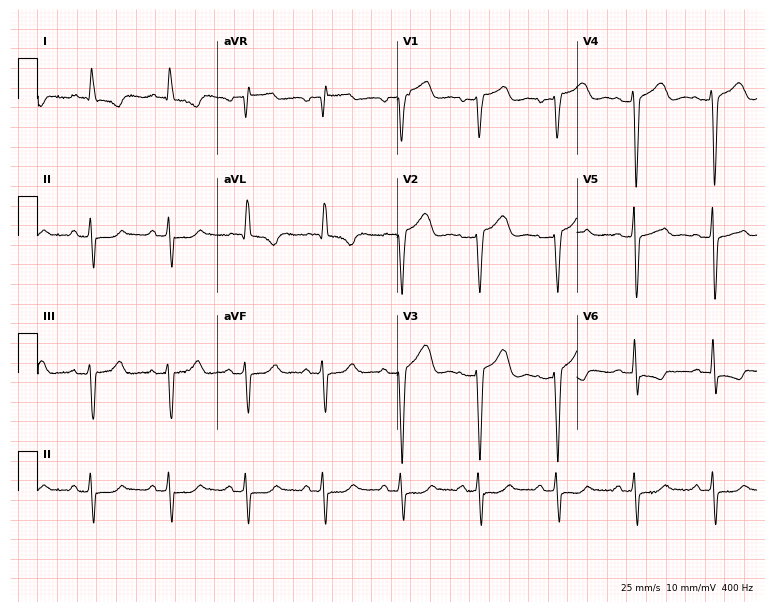
Standard 12-lead ECG recorded from a 68-year-old man (7.3-second recording at 400 Hz). None of these six findings is recorded: first-degree AV block, right bundle branch block, left bundle branch block, sinus bradycardia, atrial fibrillation, sinus tachycardia. Only these six findings were labelled.